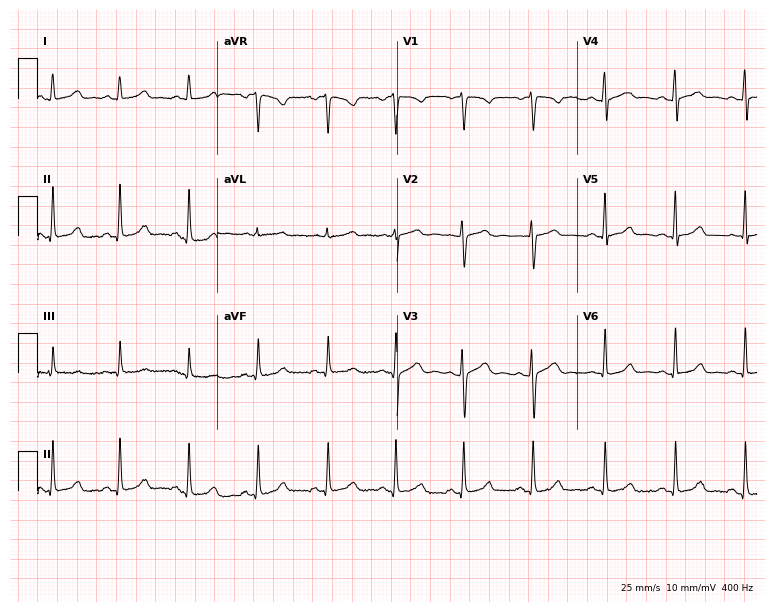
ECG (7.3-second recording at 400 Hz) — a 36-year-old woman. Labelled as a normal ECG.